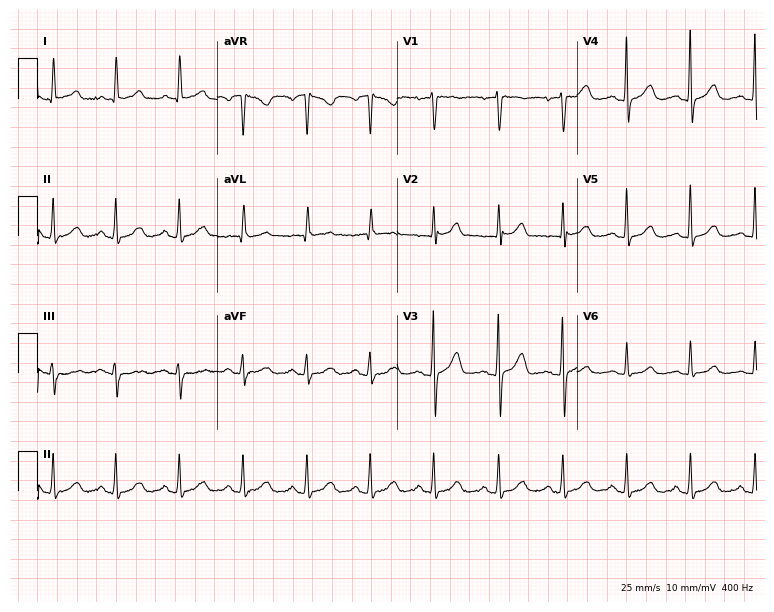
Resting 12-lead electrocardiogram. Patient: a female, 72 years old. Read as a normal ECG.